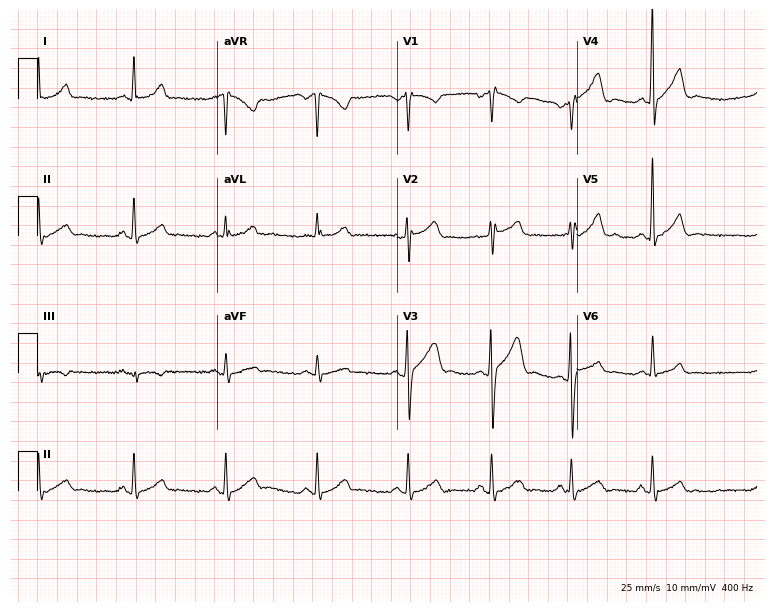
ECG (7.3-second recording at 400 Hz) — a male, 33 years old. Labelled as a normal ECG.